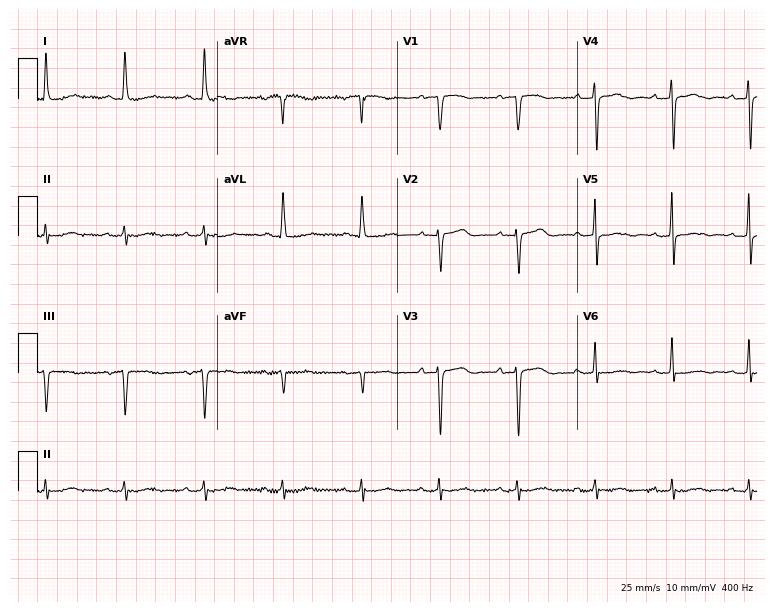
Standard 12-lead ECG recorded from a female, 77 years old (7.3-second recording at 400 Hz). None of these six findings is recorded: first-degree AV block, right bundle branch block, left bundle branch block, sinus bradycardia, atrial fibrillation, sinus tachycardia.